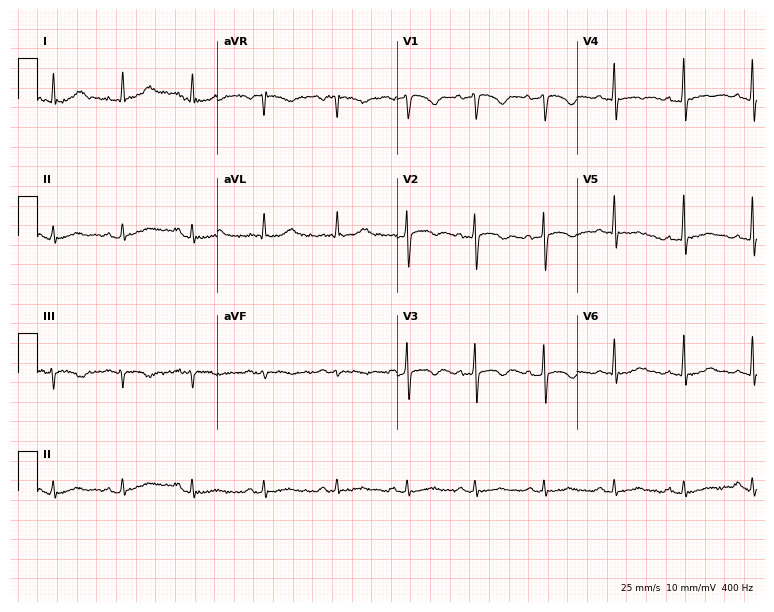
Resting 12-lead electrocardiogram. Patient: a male, 51 years old. None of these six findings is recorded: first-degree AV block, right bundle branch block, left bundle branch block, sinus bradycardia, atrial fibrillation, sinus tachycardia. Other findings, if any, are not listed.